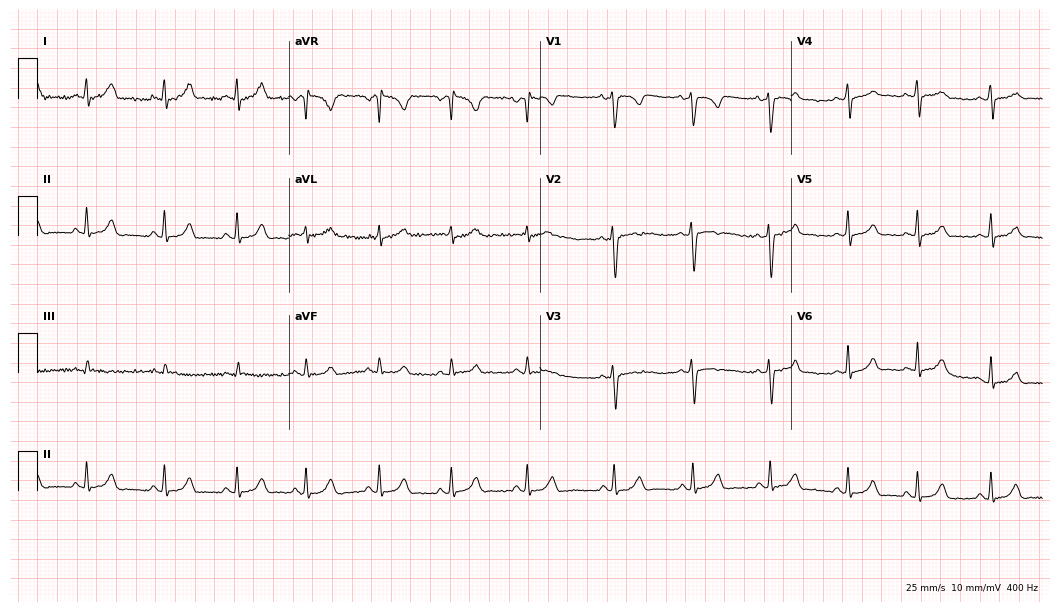
Resting 12-lead electrocardiogram. Patient: a 21-year-old woman. Read as a normal ECG.